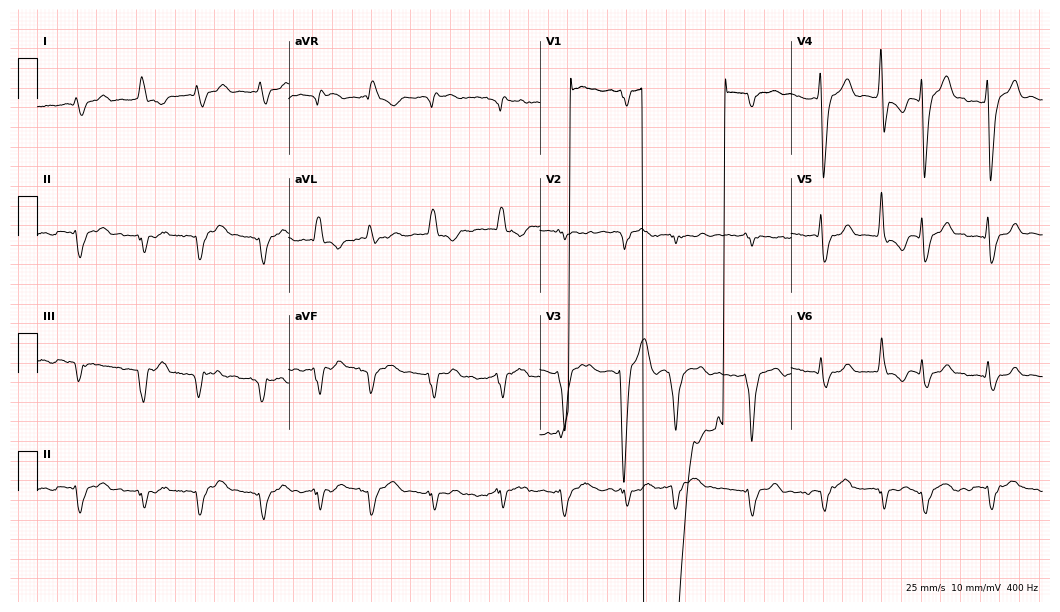
12-lead ECG from a 72-year-old male patient. Screened for six findings — first-degree AV block, right bundle branch block (RBBB), left bundle branch block (LBBB), sinus bradycardia, atrial fibrillation (AF), sinus tachycardia — none is recorded. Only these six findings were labelled.